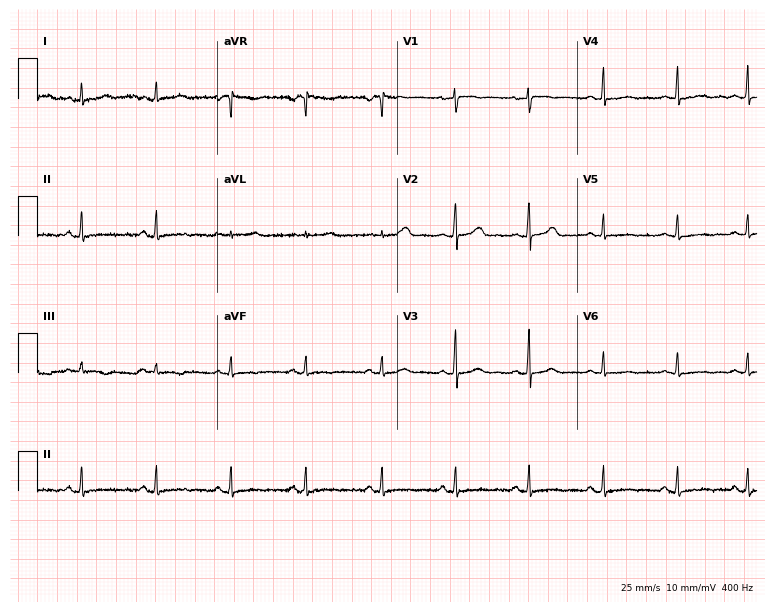
Electrocardiogram (7.3-second recording at 400 Hz), a 29-year-old female patient. Of the six screened findings (first-degree AV block, right bundle branch block, left bundle branch block, sinus bradycardia, atrial fibrillation, sinus tachycardia), none is recorded. Only these six findings were labelled.